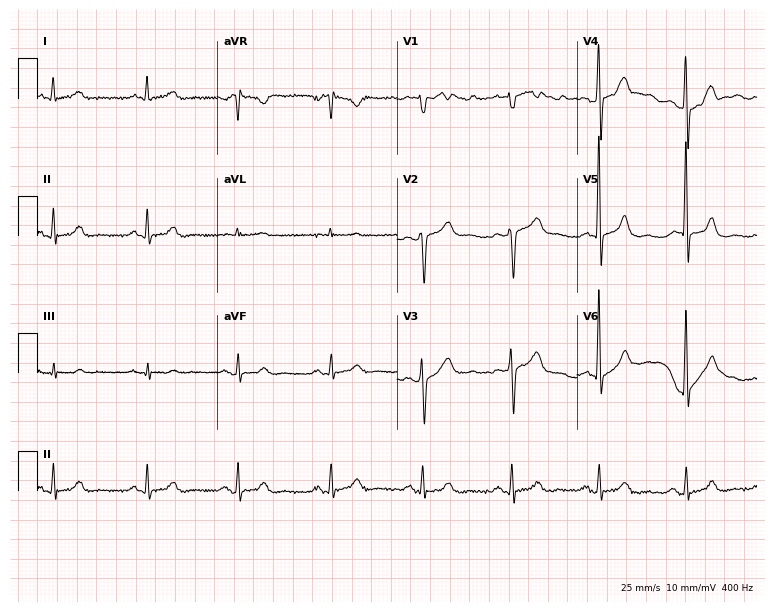
12-lead ECG (7.3-second recording at 400 Hz) from a male, 68 years old. Labelled as a normal ECG.